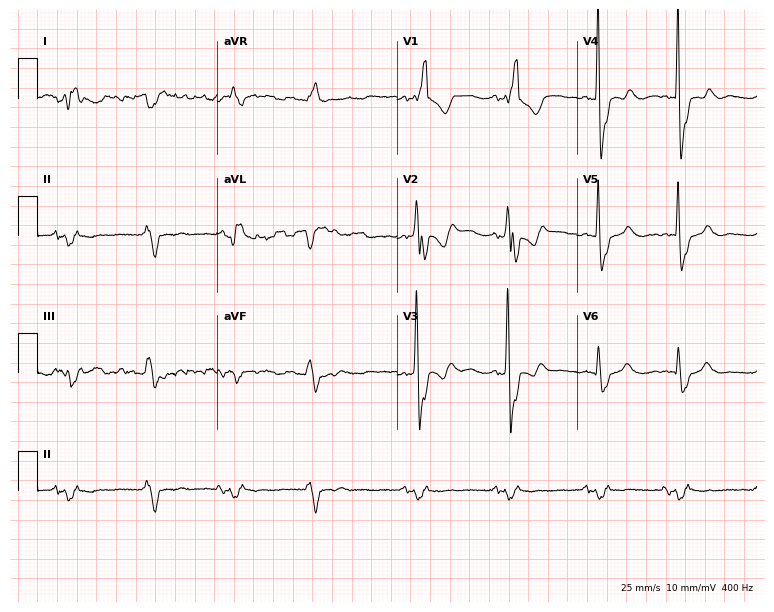
12-lead ECG (7.3-second recording at 400 Hz) from an 83-year-old man. Findings include right bundle branch block (RBBB).